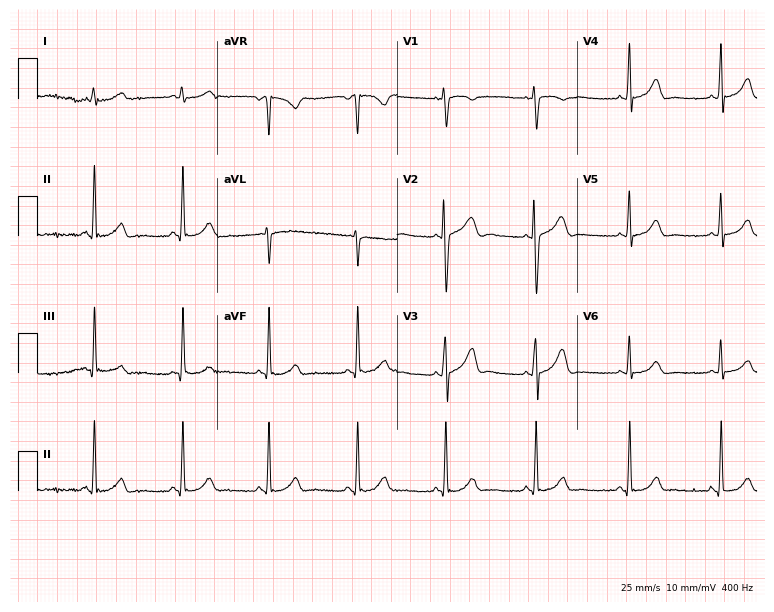
Resting 12-lead electrocardiogram. Patient: a woman, 17 years old. Read as a normal ECG.